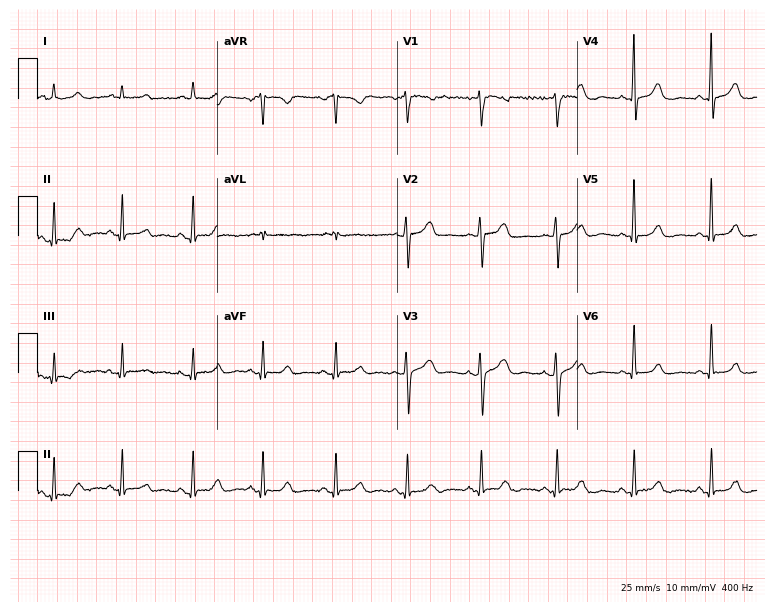
Electrocardiogram, a 54-year-old female. Overall reading on record: normal ECG.